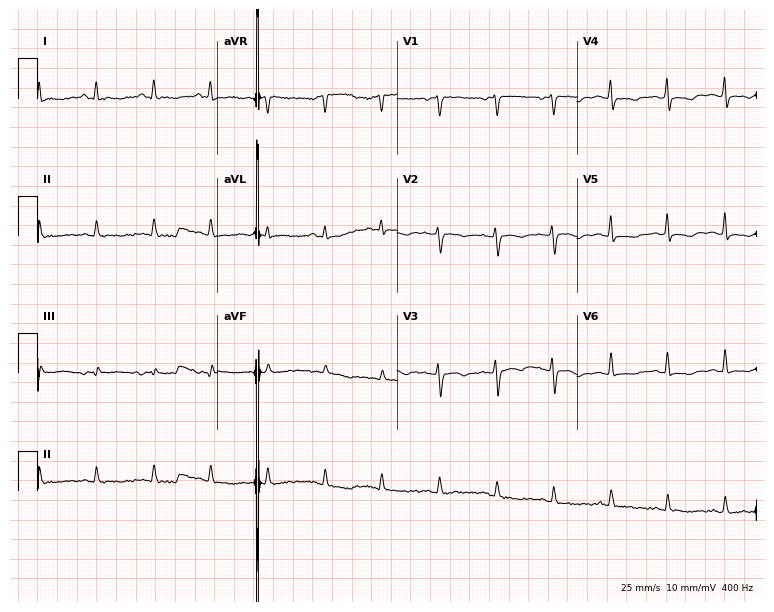
Standard 12-lead ECG recorded from a female patient, 50 years old (7.3-second recording at 400 Hz). The tracing shows sinus tachycardia (a sinus rate of 100 beats per minute or more).